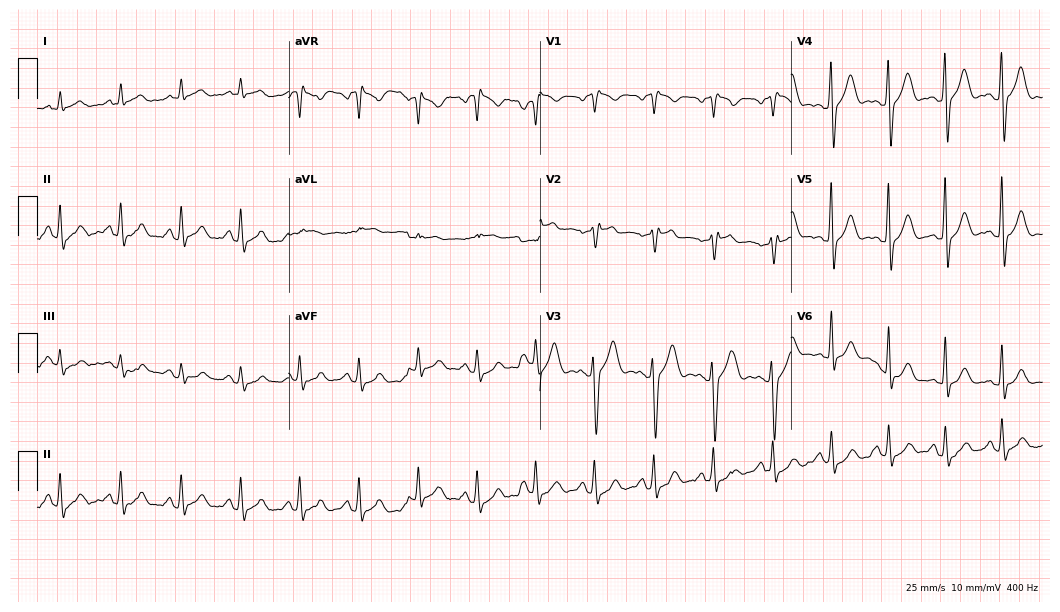
Resting 12-lead electrocardiogram (10.2-second recording at 400 Hz). Patient: a man, 60 years old. None of these six findings is recorded: first-degree AV block, right bundle branch block, left bundle branch block, sinus bradycardia, atrial fibrillation, sinus tachycardia. Findings outside these six are not listed.